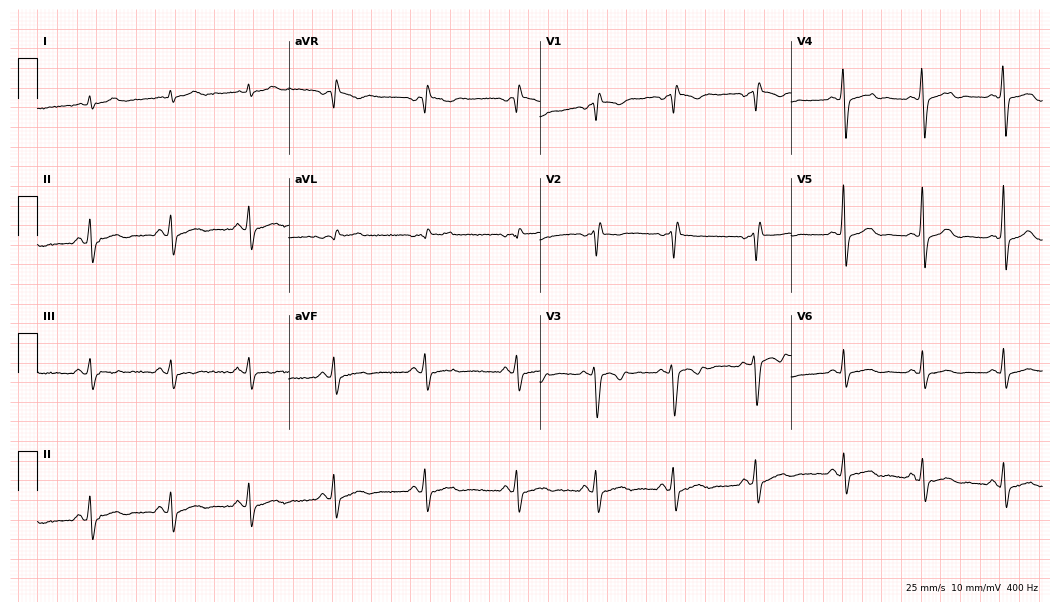
12-lead ECG (10.2-second recording at 400 Hz) from a female patient, 23 years old. Findings include right bundle branch block (RBBB).